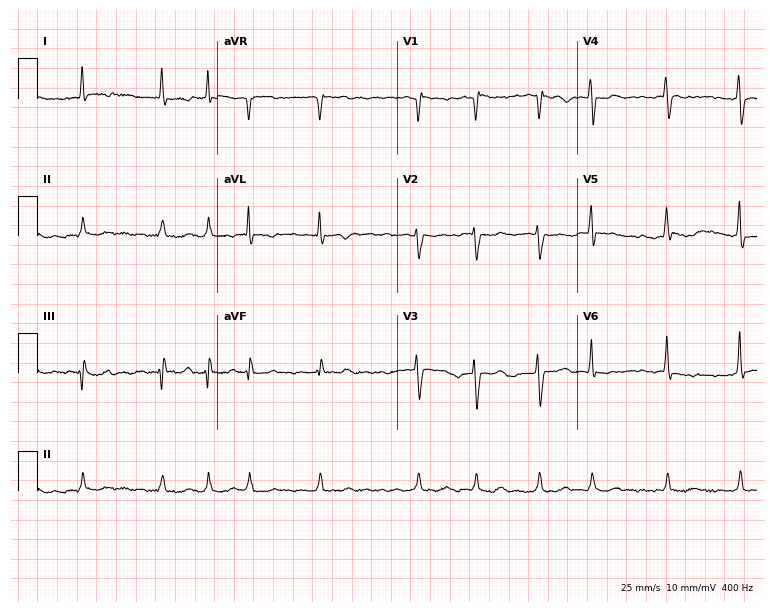
12-lead ECG from a woman, 74 years old. Findings include atrial fibrillation.